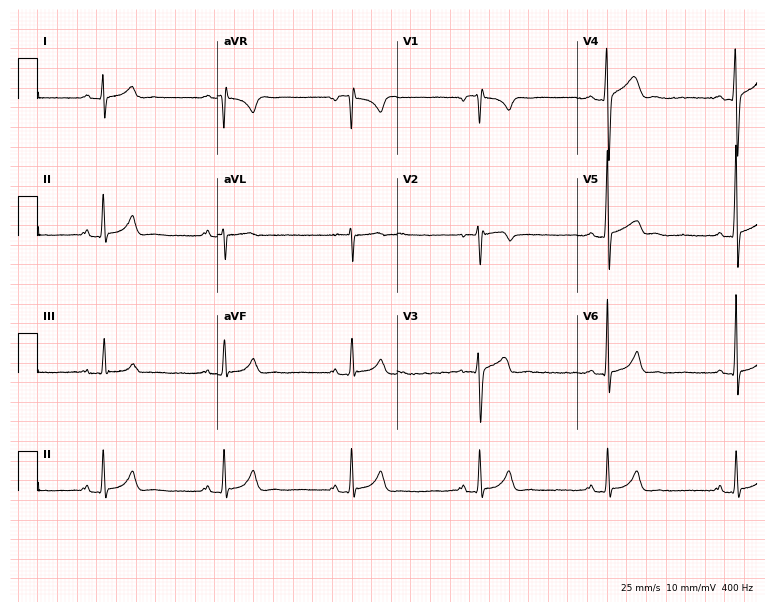
Resting 12-lead electrocardiogram (7.3-second recording at 400 Hz). Patient: a 24-year-old man. The tracing shows sinus bradycardia (a sinus rate of 50 beats per minute or less).